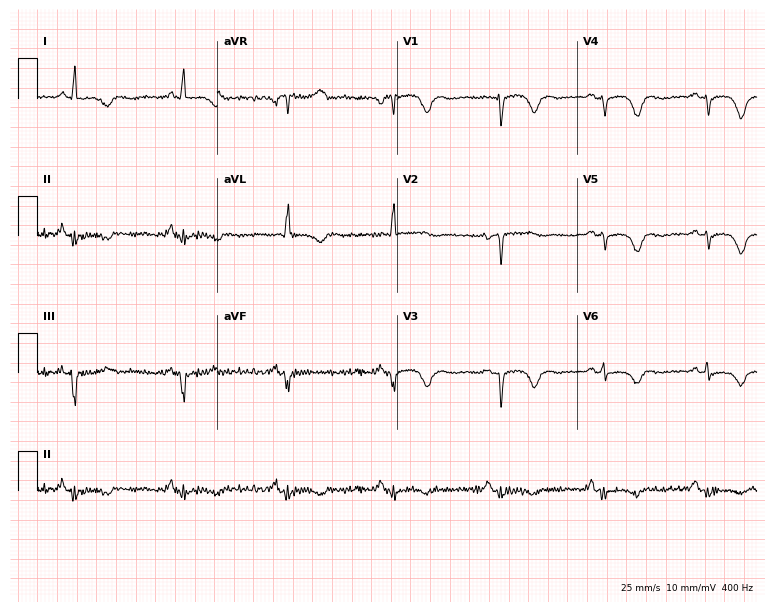
Resting 12-lead electrocardiogram. Patient: a 73-year-old female. None of these six findings is recorded: first-degree AV block, right bundle branch block, left bundle branch block, sinus bradycardia, atrial fibrillation, sinus tachycardia. Only these six findings were labelled.